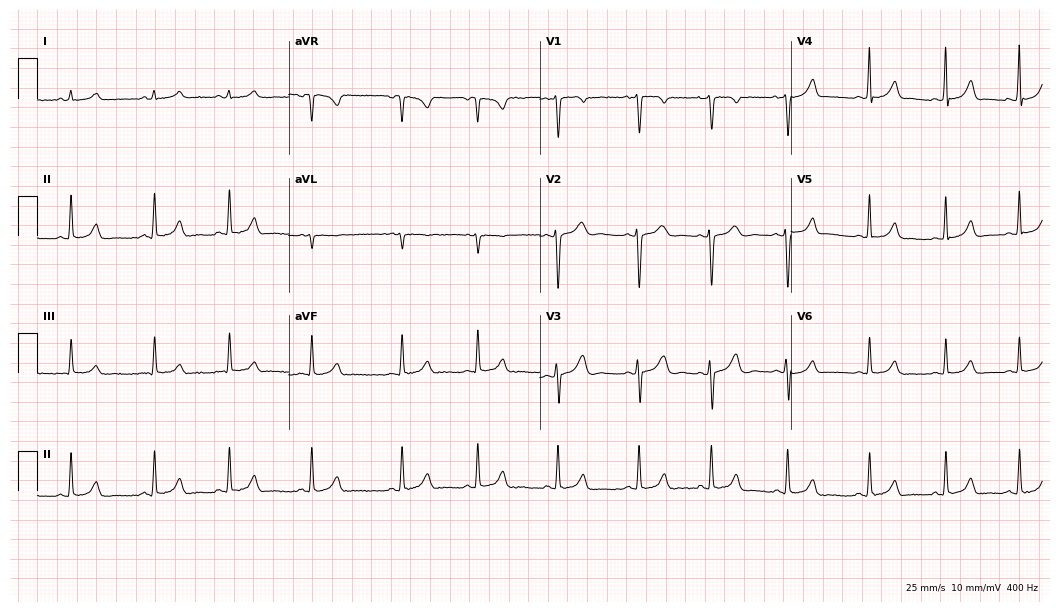
Electrocardiogram, a 17-year-old woman. Overall reading on record: normal ECG.